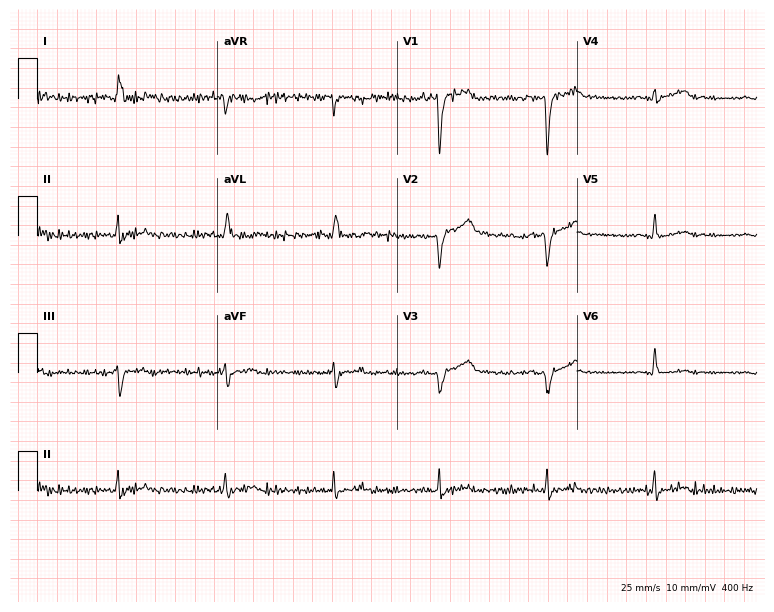
12-lead ECG from a male, 56 years old. Screened for six findings — first-degree AV block, right bundle branch block, left bundle branch block, sinus bradycardia, atrial fibrillation, sinus tachycardia — none is recorded.